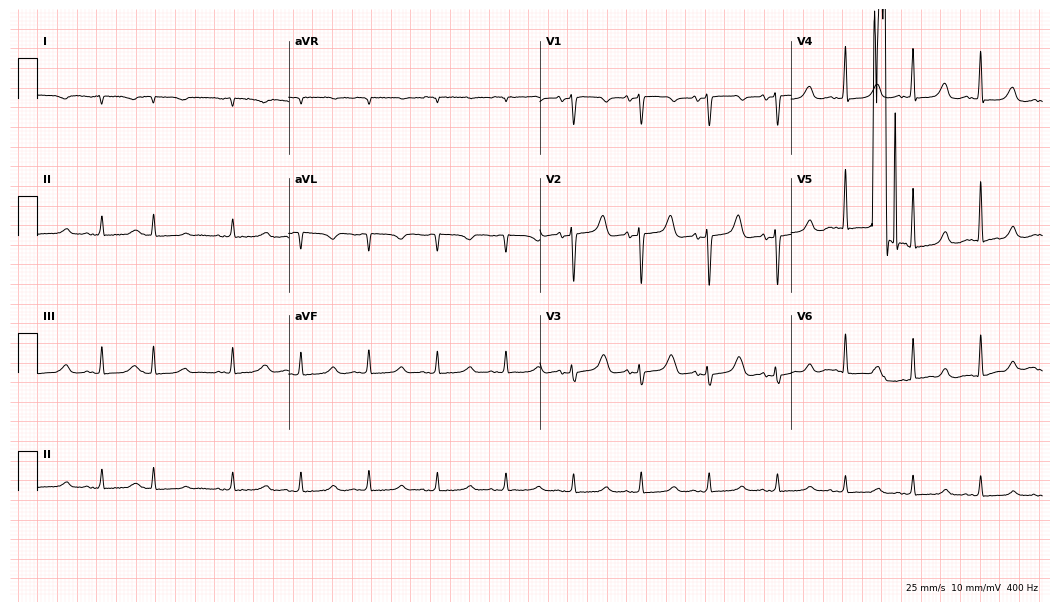
ECG (10.2-second recording at 400 Hz) — a woman, 78 years old. Screened for six findings — first-degree AV block, right bundle branch block, left bundle branch block, sinus bradycardia, atrial fibrillation, sinus tachycardia — none is recorded.